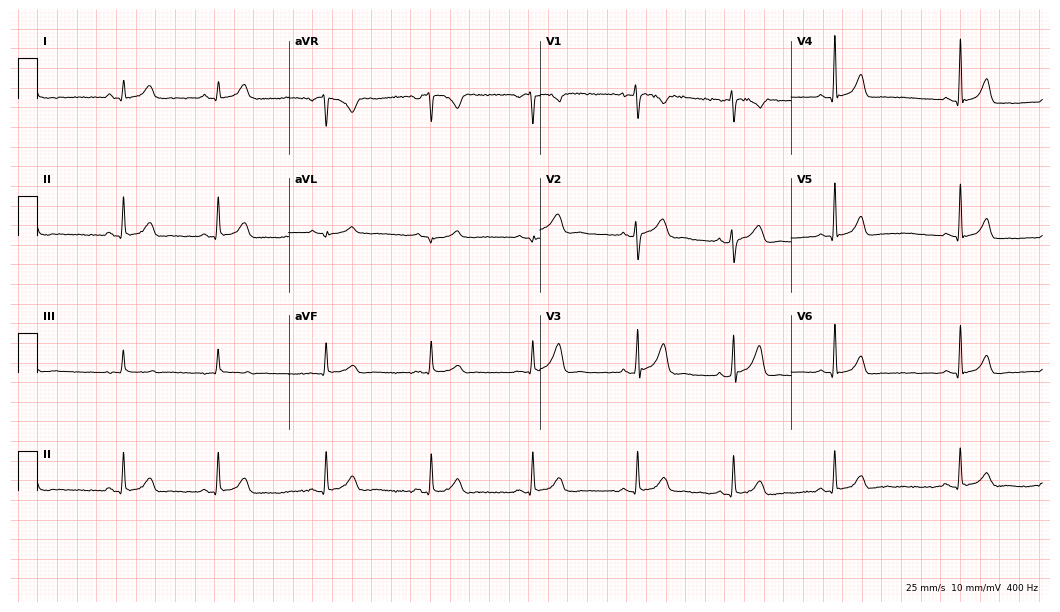
ECG — a 23-year-old woman. Screened for six findings — first-degree AV block, right bundle branch block, left bundle branch block, sinus bradycardia, atrial fibrillation, sinus tachycardia — none is recorded. Findings outside these six are not listed.